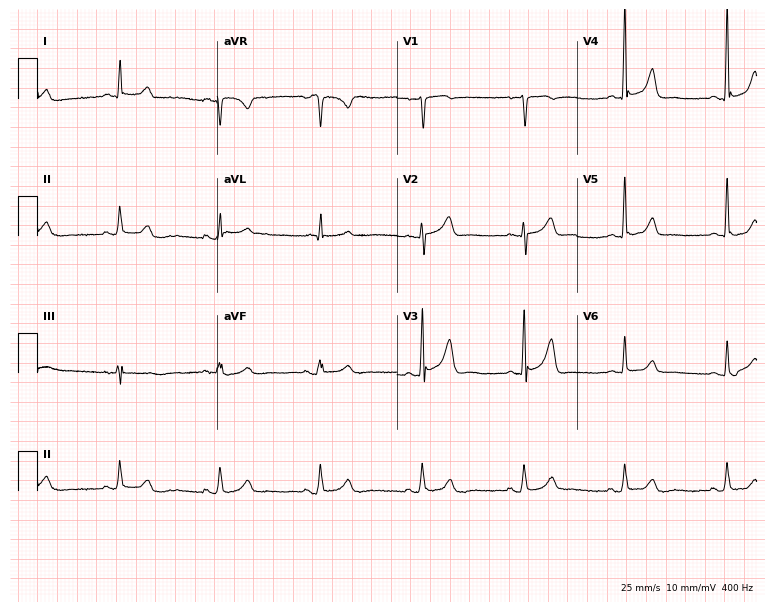
12-lead ECG (7.3-second recording at 400 Hz) from a 61-year-old male. Labelled as a normal ECG.